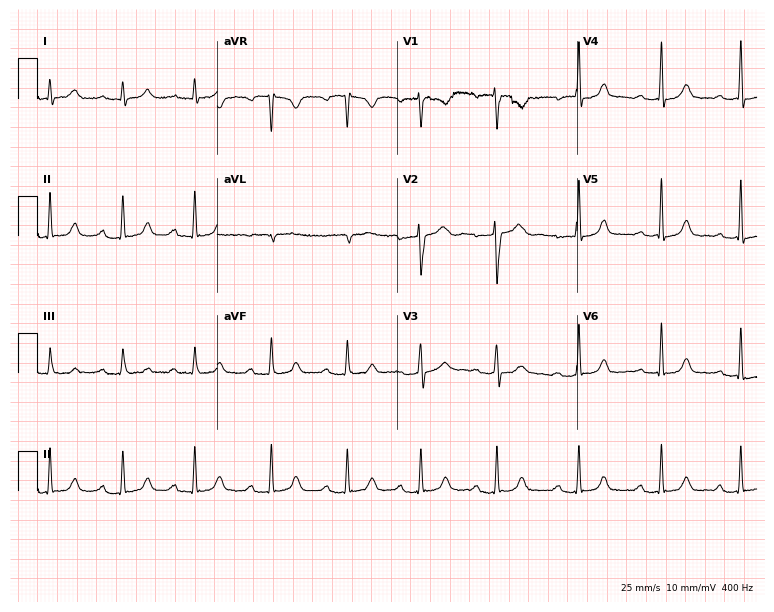
12-lead ECG from a female patient, 31 years old. Findings include first-degree AV block.